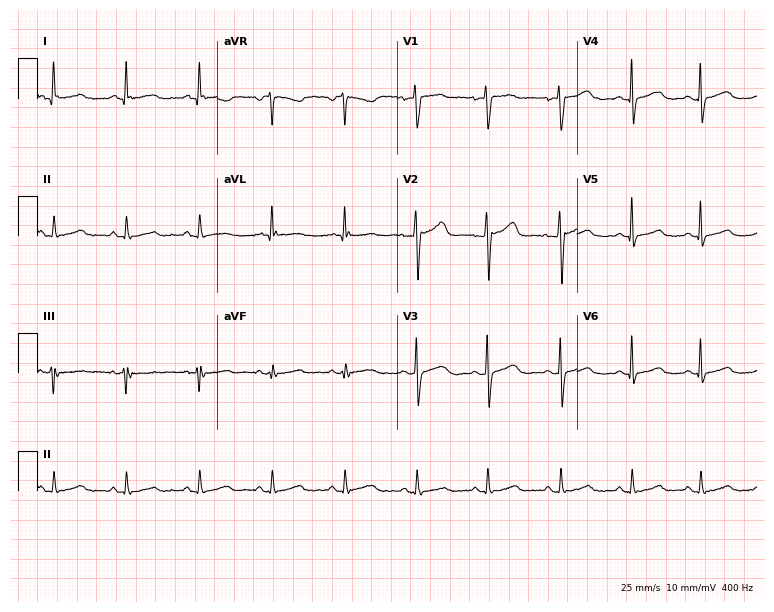
Electrocardiogram, a woman, 48 years old. Of the six screened findings (first-degree AV block, right bundle branch block, left bundle branch block, sinus bradycardia, atrial fibrillation, sinus tachycardia), none is recorded.